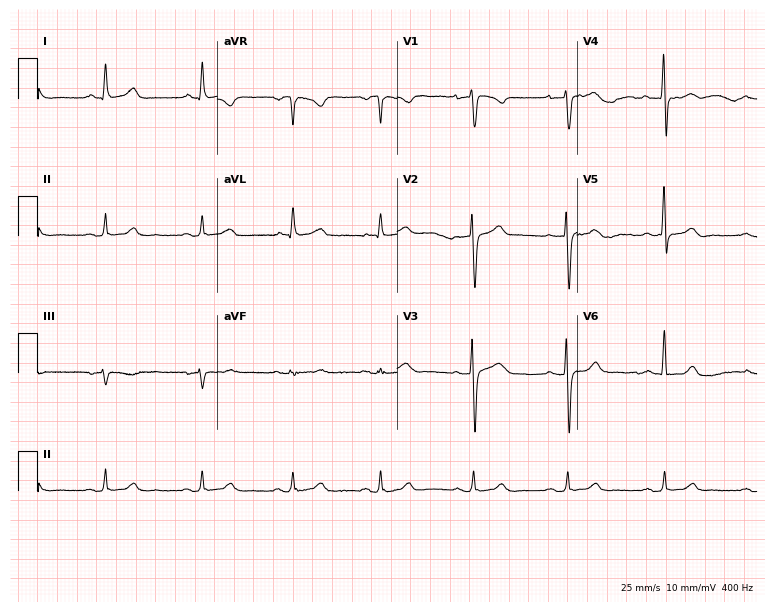
Resting 12-lead electrocardiogram. Patient: a 49-year-old male. None of these six findings is recorded: first-degree AV block, right bundle branch block, left bundle branch block, sinus bradycardia, atrial fibrillation, sinus tachycardia. Other findings, if any, are not listed.